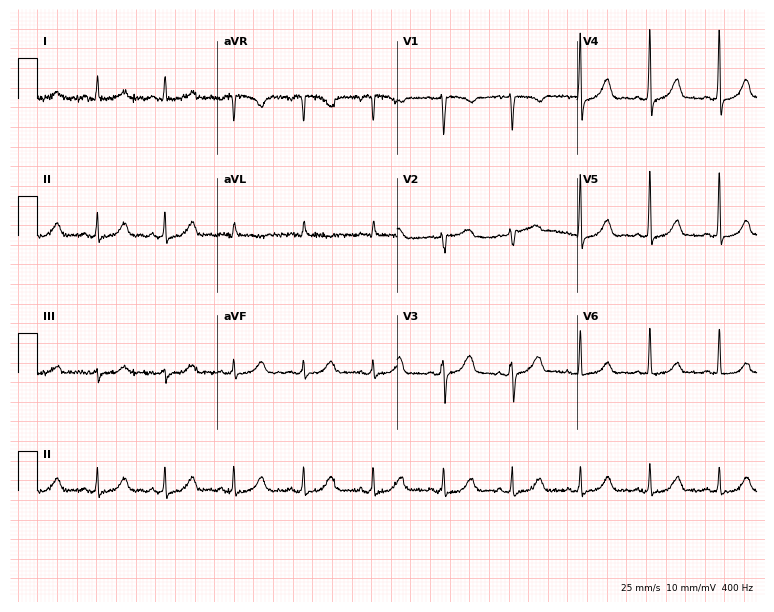
Resting 12-lead electrocardiogram (7.3-second recording at 400 Hz). Patient: a 58-year-old woman. Read as a normal ECG.